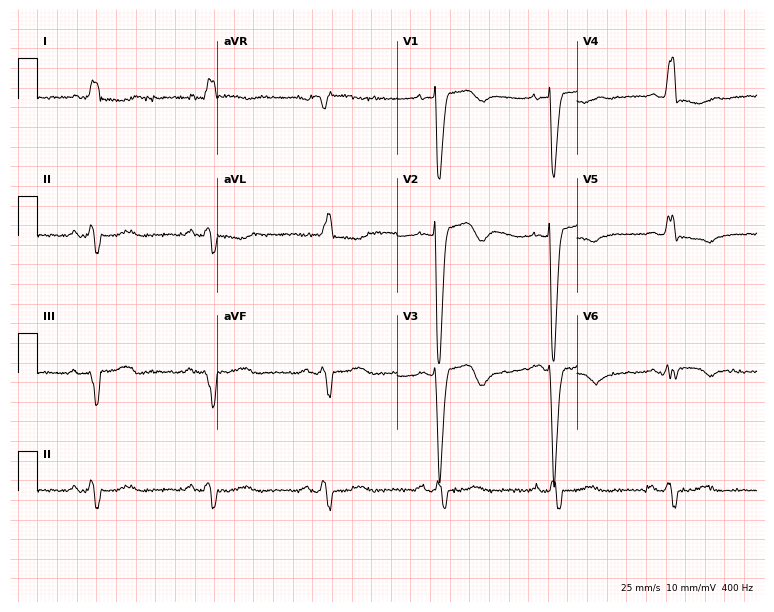
12-lead ECG from an 85-year-old woman (7.3-second recording at 400 Hz). No first-degree AV block, right bundle branch block (RBBB), left bundle branch block (LBBB), sinus bradycardia, atrial fibrillation (AF) or sinus tachycardia recorded for this tracing.